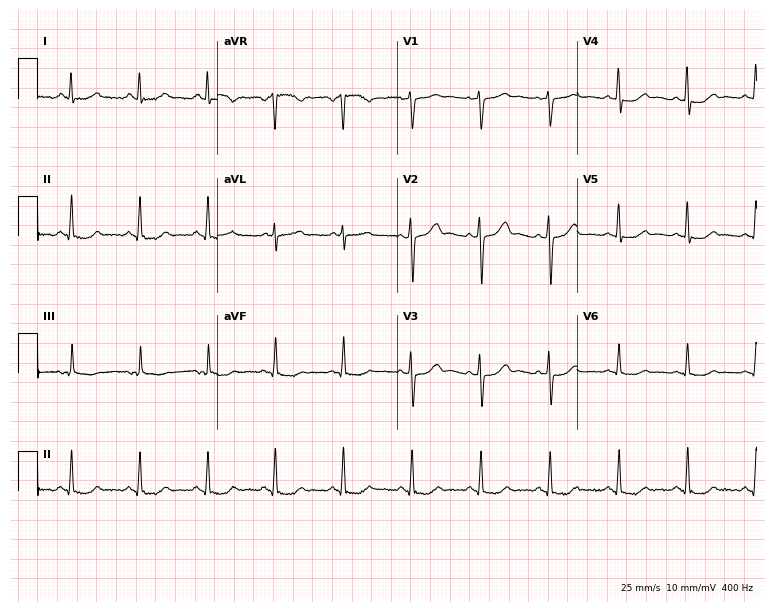
Standard 12-lead ECG recorded from a 63-year-old woman. None of these six findings is recorded: first-degree AV block, right bundle branch block (RBBB), left bundle branch block (LBBB), sinus bradycardia, atrial fibrillation (AF), sinus tachycardia.